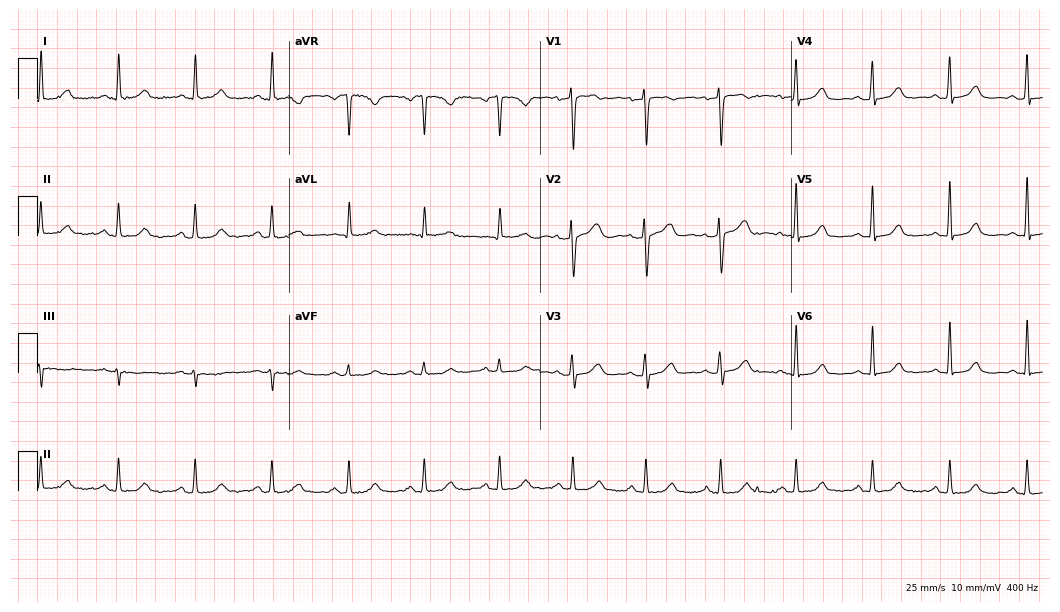
Resting 12-lead electrocardiogram (10.2-second recording at 400 Hz). Patient: a female, 59 years old. Read as a normal ECG.